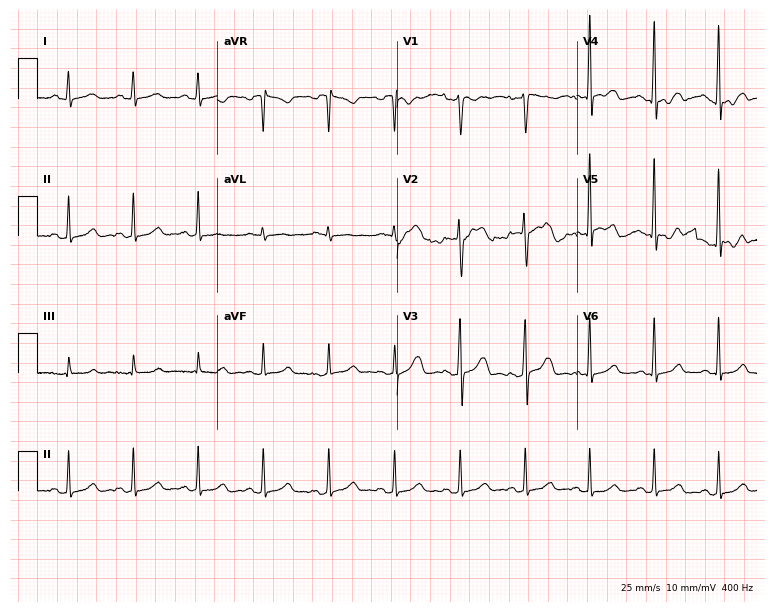
Resting 12-lead electrocardiogram. Patient: a 42-year-old woman. None of these six findings is recorded: first-degree AV block, right bundle branch block, left bundle branch block, sinus bradycardia, atrial fibrillation, sinus tachycardia.